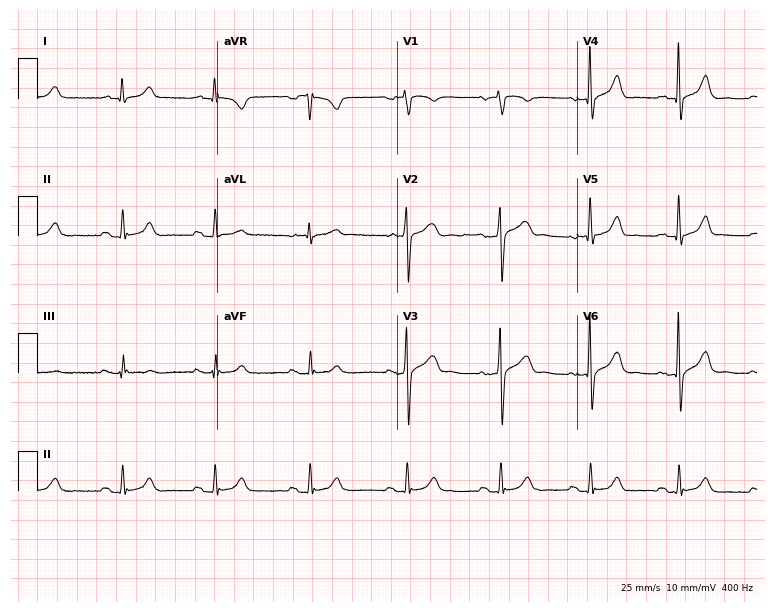
Electrocardiogram, a 52-year-old man. Overall reading on record: normal ECG.